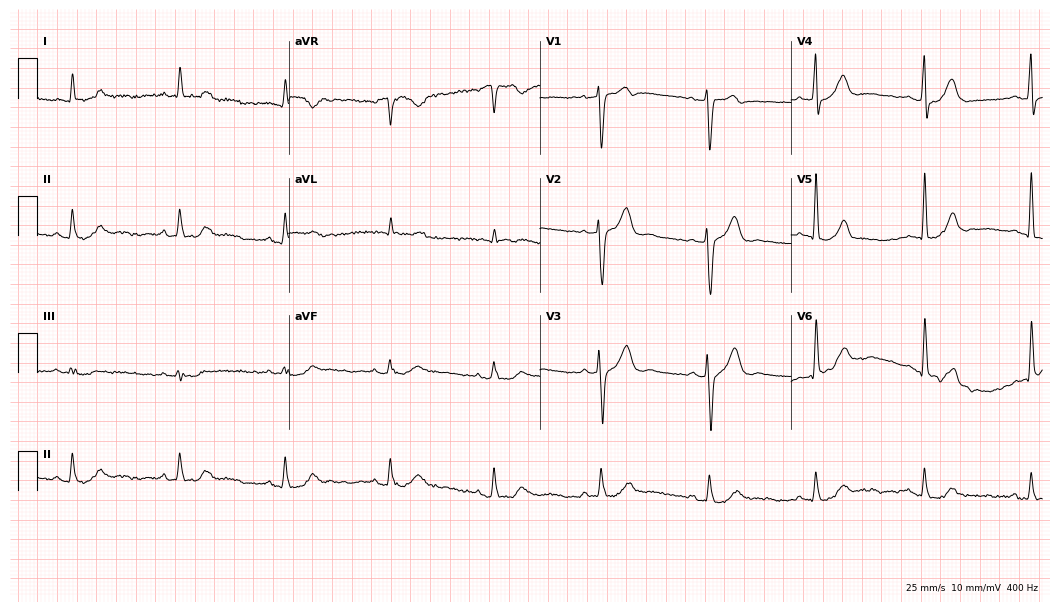
Standard 12-lead ECG recorded from a male, 72 years old. Read as a normal ECG.